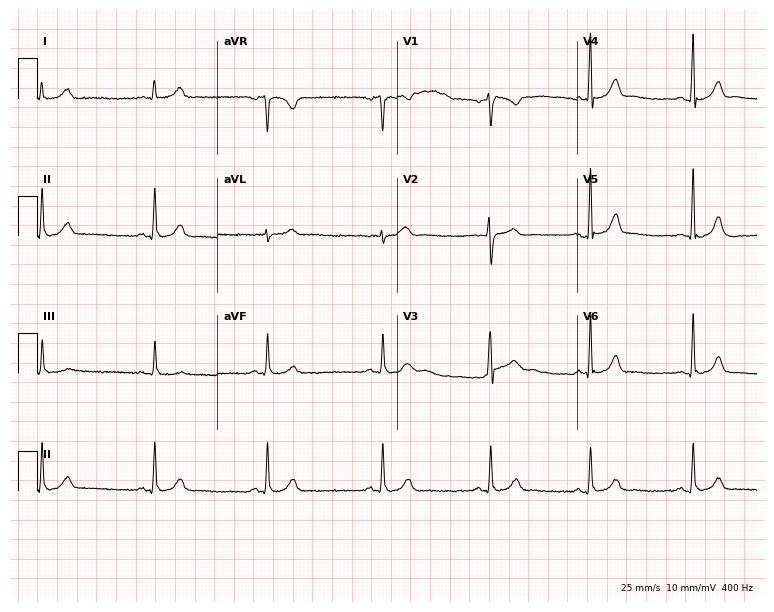
Electrocardiogram (7.3-second recording at 400 Hz), a 22-year-old man. Overall reading on record: normal ECG.